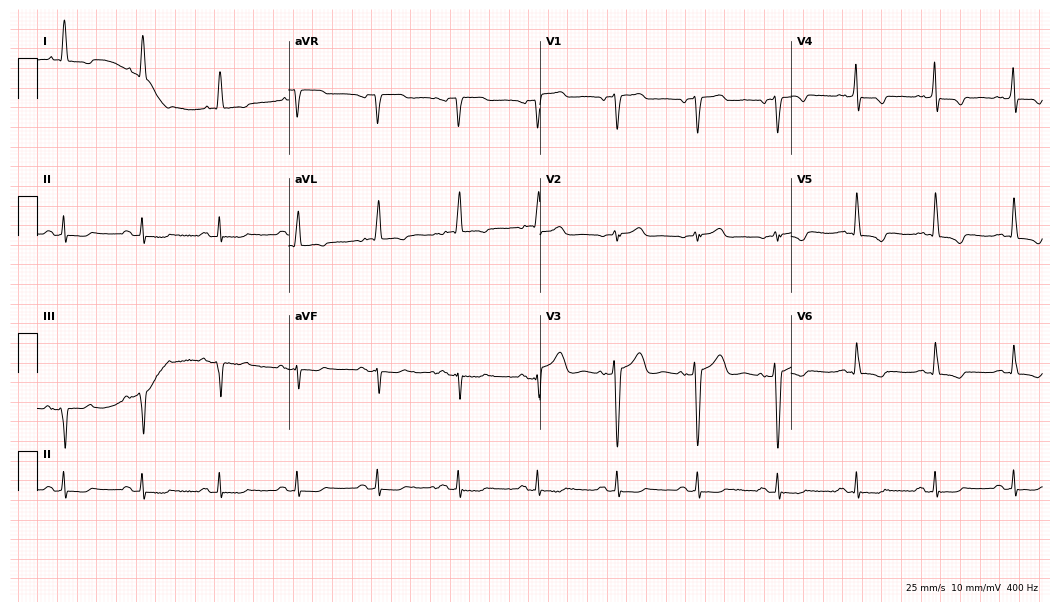
12-lead ECG from a female patient, 59 years old (10.2-second recording at 400 Hz). No first-degree AV block, right bundle branch block, left bundle branch block, sinus bradycardia, atrial fibrillation or sinus tachycardia recorded for this tracing. Only these six findings were labelled.